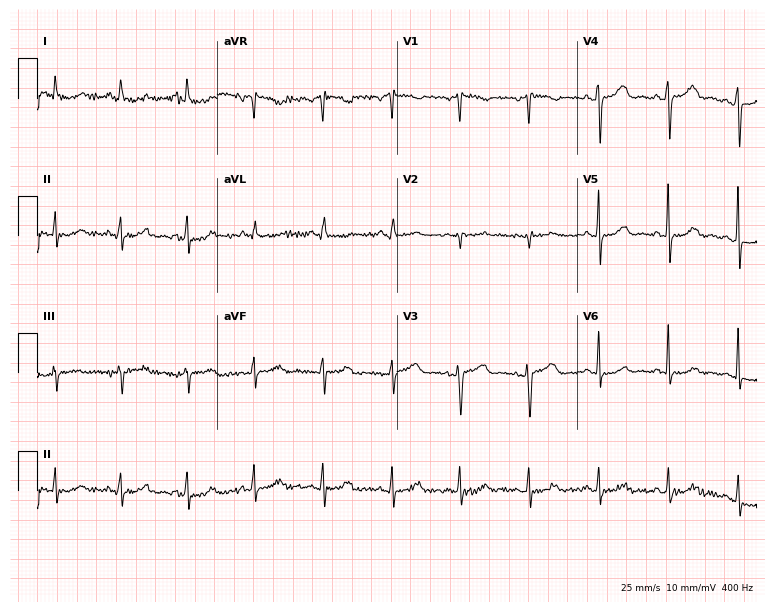
Resting 12-lead electrocardiogram (7.3-second recording at 400 Hz). Patient: a woman, 68 years old. None of these six findings is recorded: first-degree AV block, right bundle branch block, left bundle branch block, sinus bradycardia, atrial fibrillation, sinus tachycardia. Other findings, if any, are not listed.